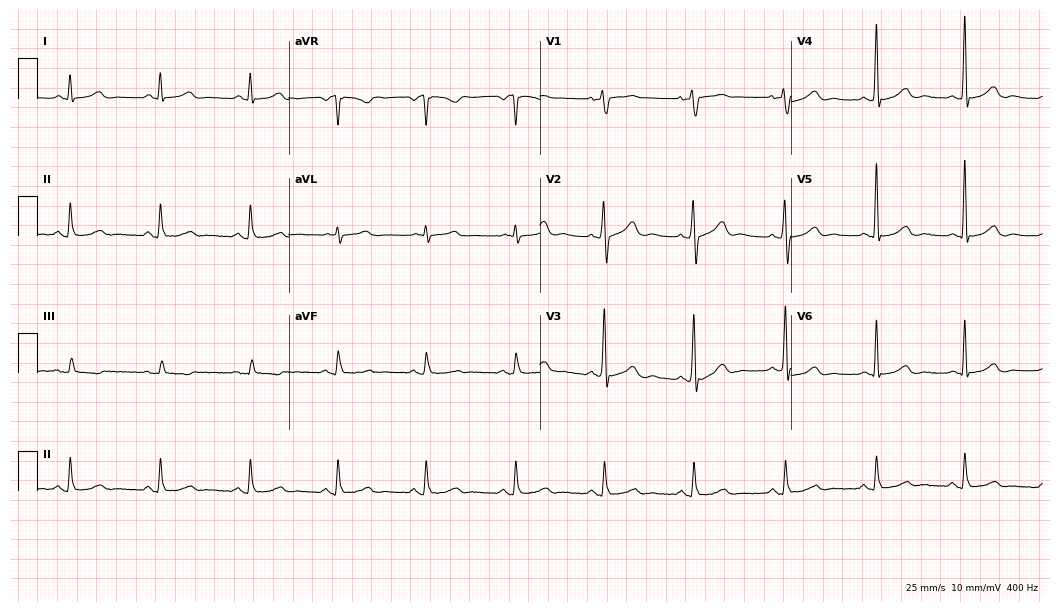
Resting 12-lead electrocardiogram. Patient: a 61-year-old male. None of these six findings is recorded: first-degree AV block, right bundle branch block, left bundle branch block, sinus bradycardia, atrial fibrillation, sinus tachycardia. Other findings, if any, are not listed.